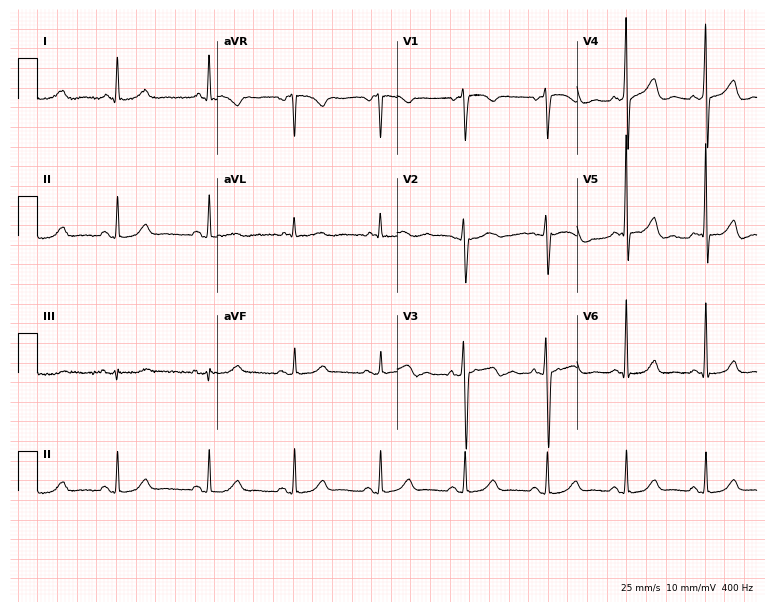
Resting 12-lead electrocardiogram (7.3-second recording at 400 Hz). Patient: a 55-year-old female. Read as a normal ECG.